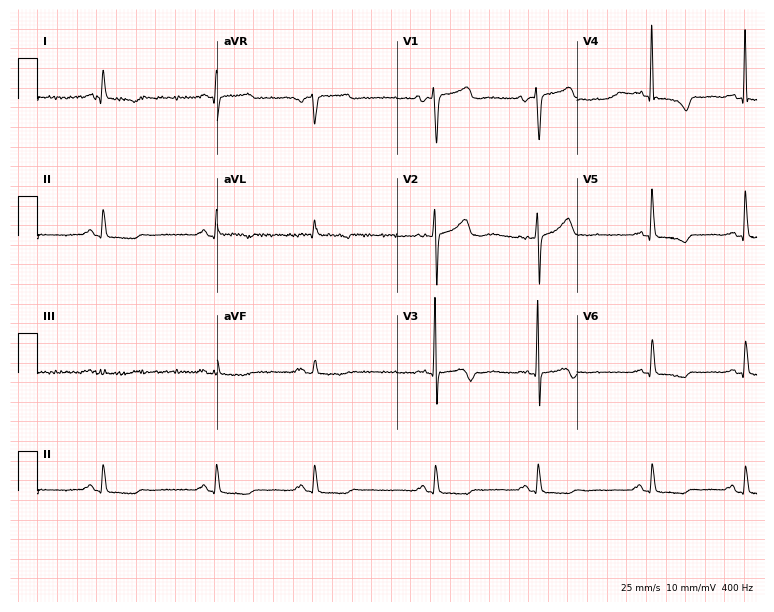
Standard 12-lead ECG recorded from an 80-year-old male. Read as a normal ECG.